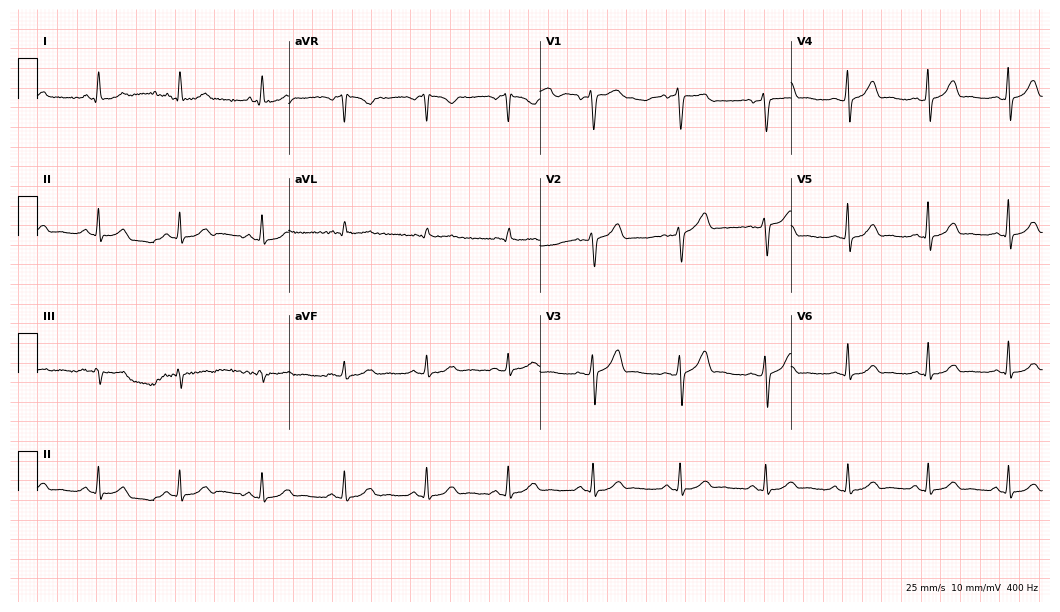
ECG (10.2-second recording at 400 Hz) — a man, 57 years old. Labelled as a normal ECG.